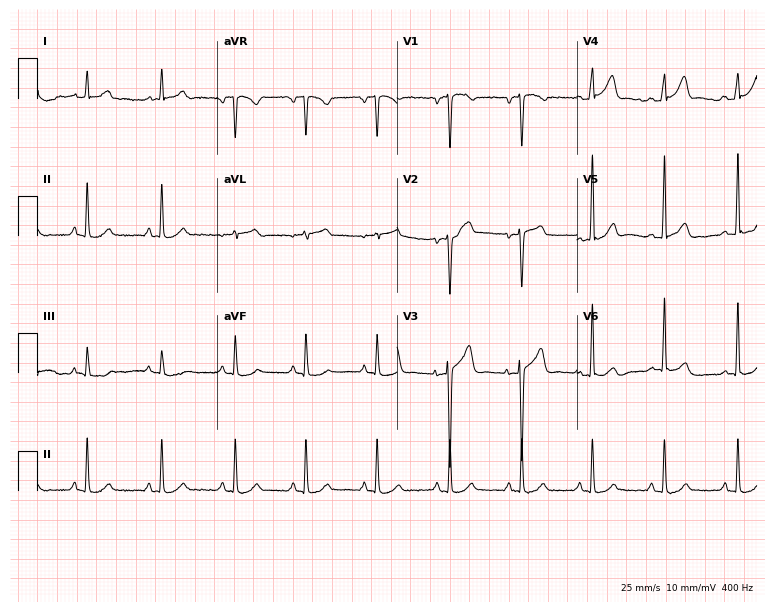
Standard 12-lead ECG recorded from a woman, 31 years old. None of these six findings is recorded: first-degree AV block, right bundle branch block, left bundle branch block, sinus bradycardia, atrial fibrillation, sinus tachycardia. Findings outside these six are not listed.